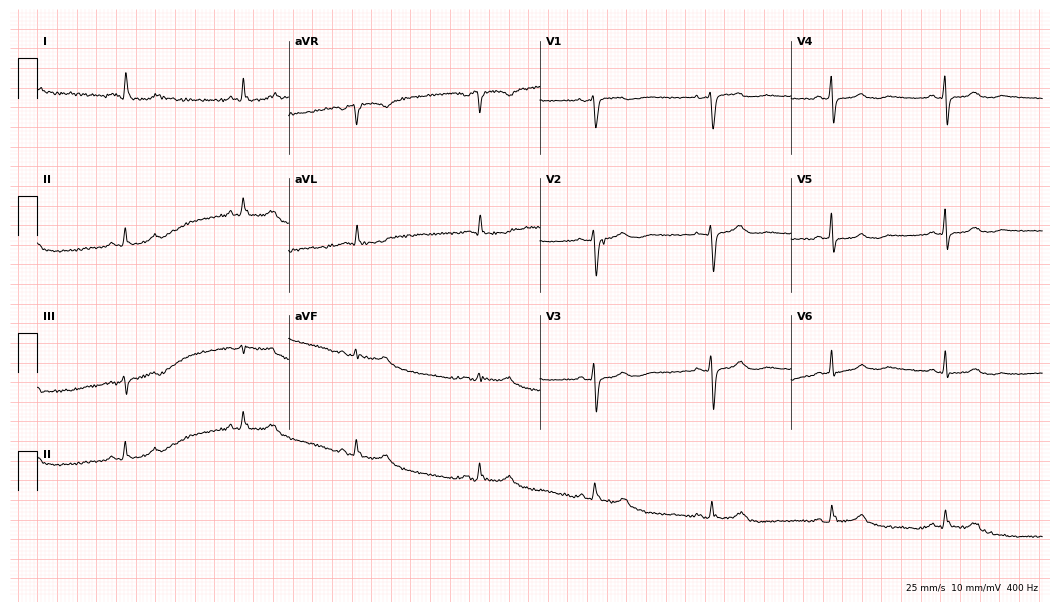
12-lead ECG (10.2-second recording at 400 Hz) from a 73-year-old female. Labelled as a normal ECG.